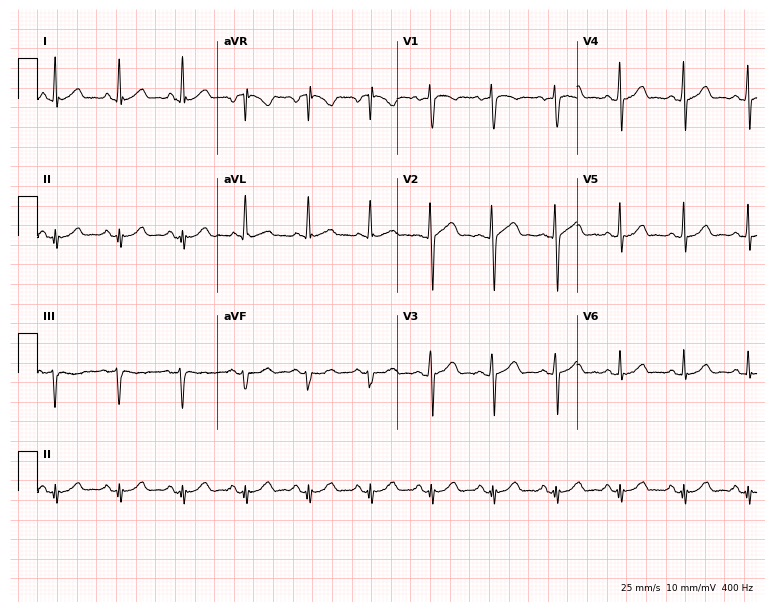
Standard 12-lead ECG recorded from a man, 35 years old. Read as a normal ECG.